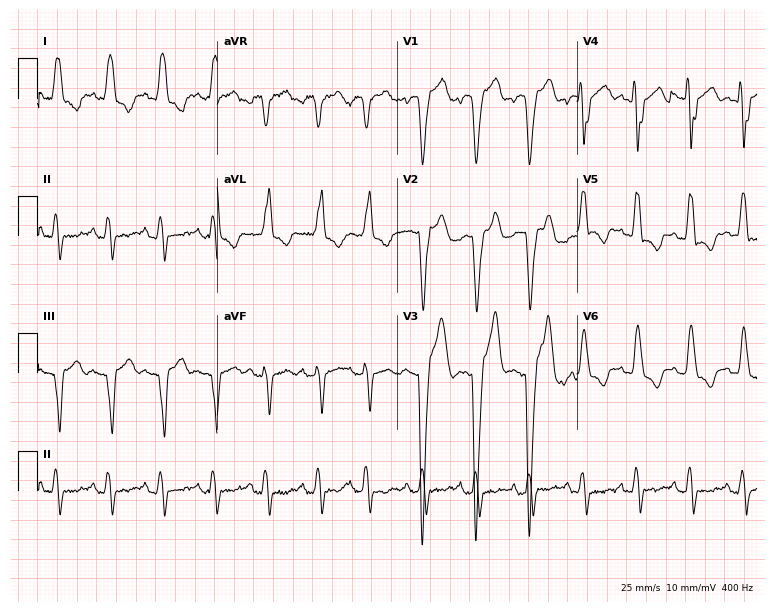
ECG — a 68-year-old female. Findings include left bundle branch block, sinus tachycardia (a sinus rate of 100 beats per minute or more).